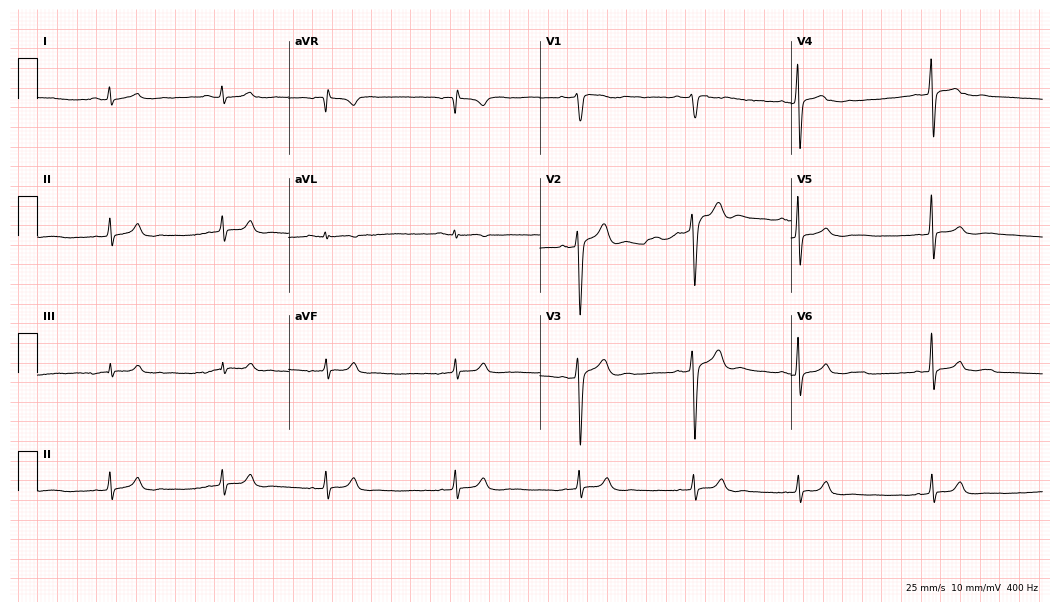
12-lead ECG (10.2-second recording at 400 Hz) from a male, 23 years old. Labelled as a normal ECG.